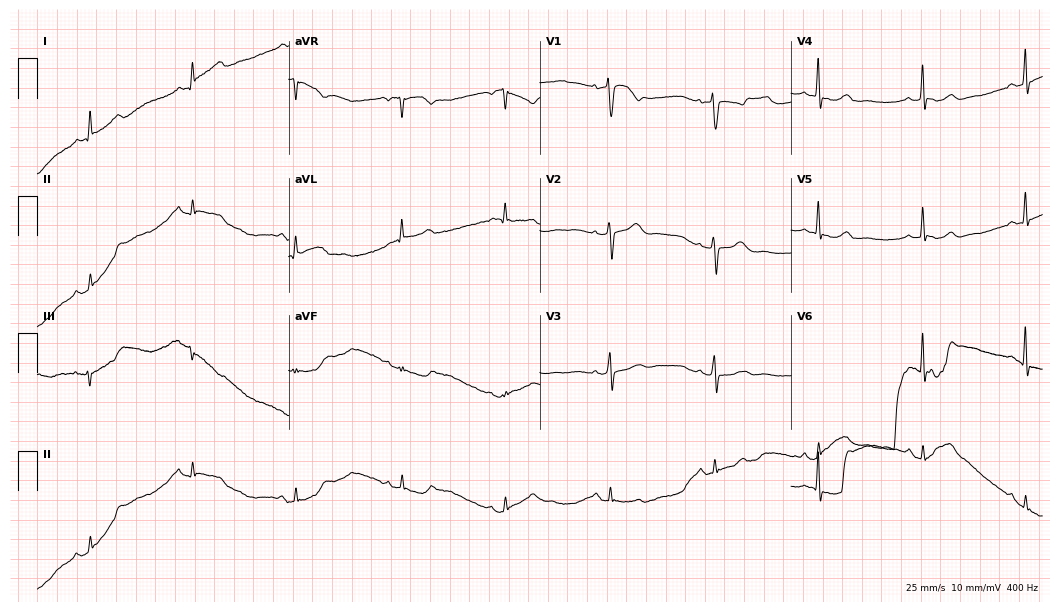
Electrocardiogram (10.2-second recording at 400 Hz), a female, 62 years old. Of the six screened findings (first-degree AV block, right bundle branch block, left bundle branch block, sinus bradycardia, atrial fibrillation, sinus tachycardia), none is recorded.